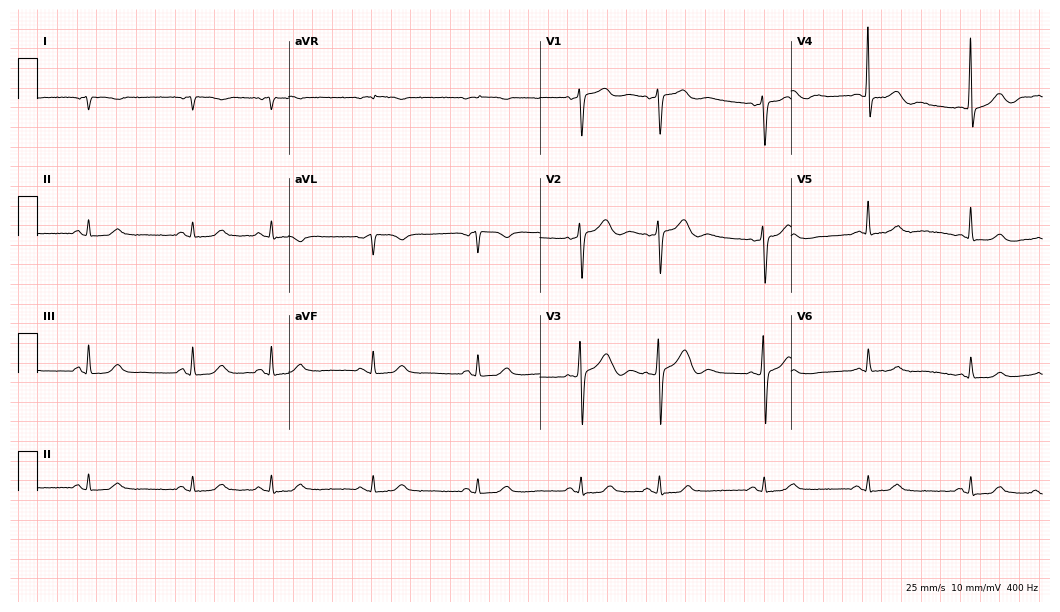
12-lead ECG from an 84-year-old woman (10.2-second recording at 400 Hz). No first-degree AV block, right bundle branch block, left bundle branch block, sinus bradycardia, atrial fibrillation or sinus tachycardia recorded for this tracing. Findings outside these six are not listed.